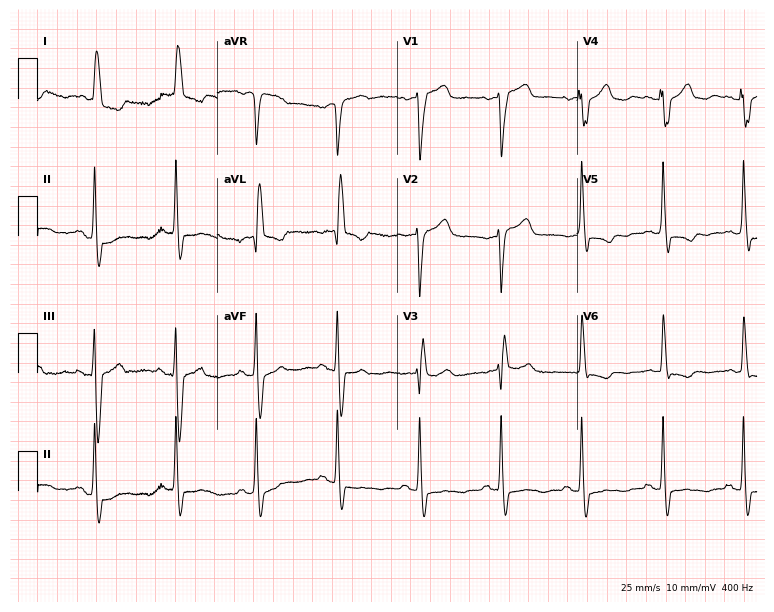
Resting 12-lead electrocardiogram. Patient: a 79-year-old female. None of these six findings is recorded: first-degree AV block, right bundle branch block, left bundle branch block, sinus bradycardia, atrial fibrillation, sinus tachycardia.